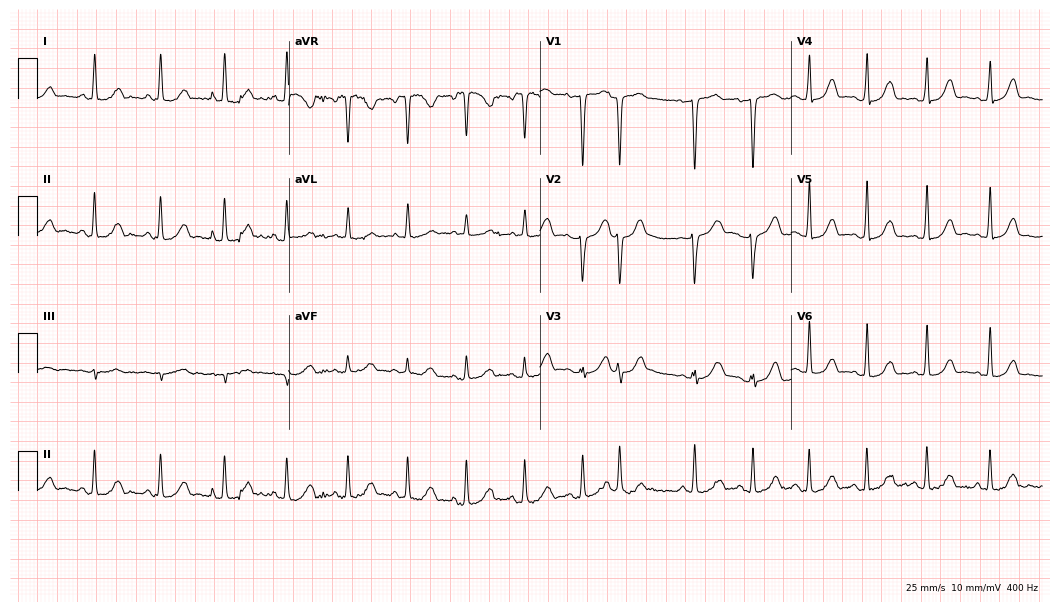
ECG — a woman, 31 years old. Screened for six findings — first-degree AV block, right bundle branch block (RBBB), left bundle branch block (LBBB), sinus bradycardia, atrial fibrillation (AF), sinus tachycardia — none is recorded. Other findings, if any, are not listed.